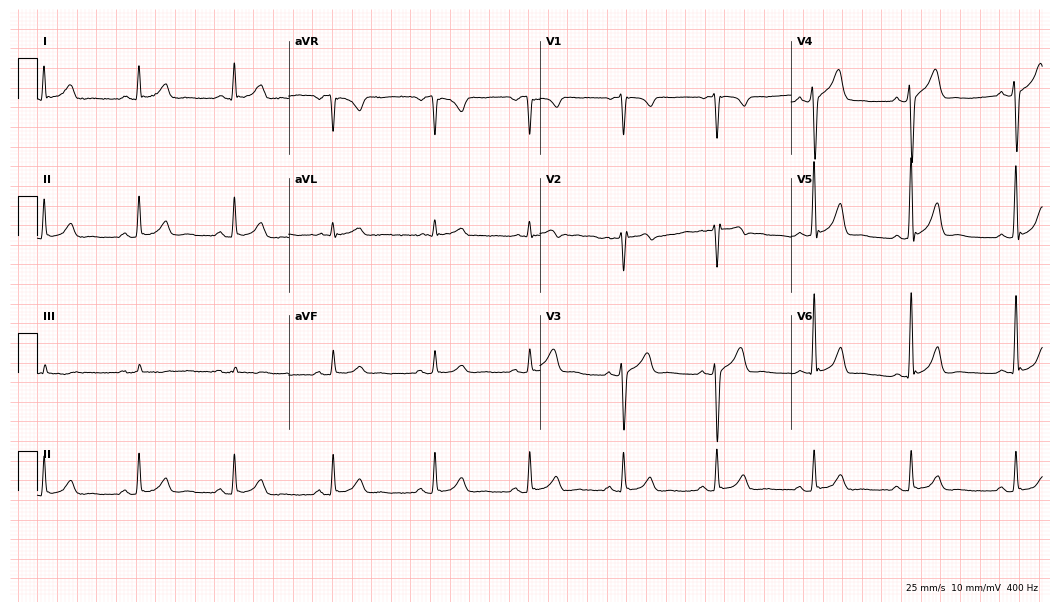
Resting 12-lead electrocardiogram. Patient: a 32-year-old male. Read as a normal ECG.